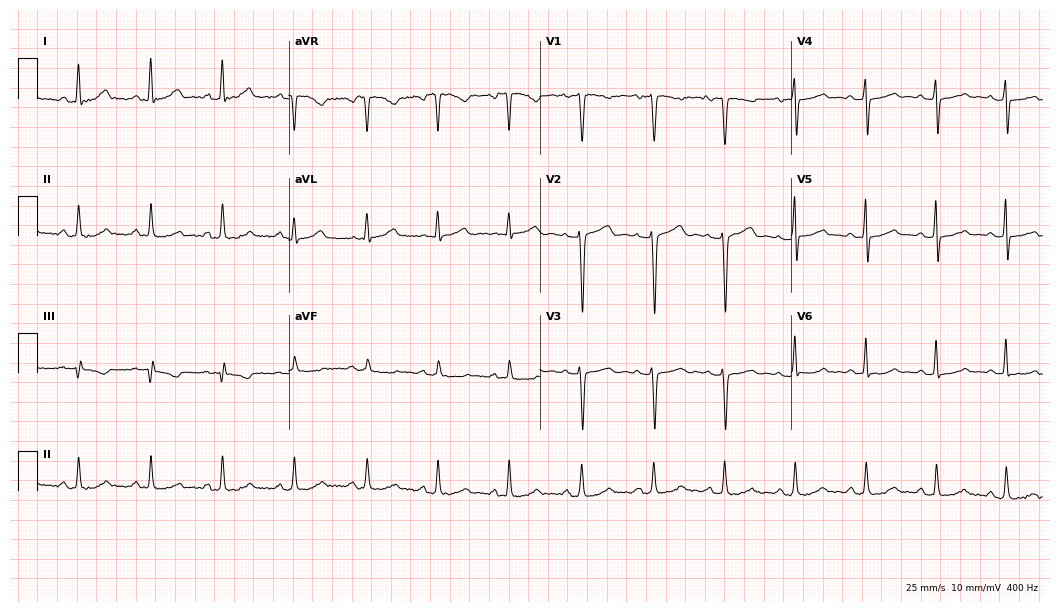
Standard 12-lead ECG recorded from a 35-year-old female (10.2-second recording at 400 Hz). None of these six findings is recorded: first-degree AV block, right bundle branch block, left bundle branch block, sinus bradycardia, atrial fibrillation, sinus tachycardia.